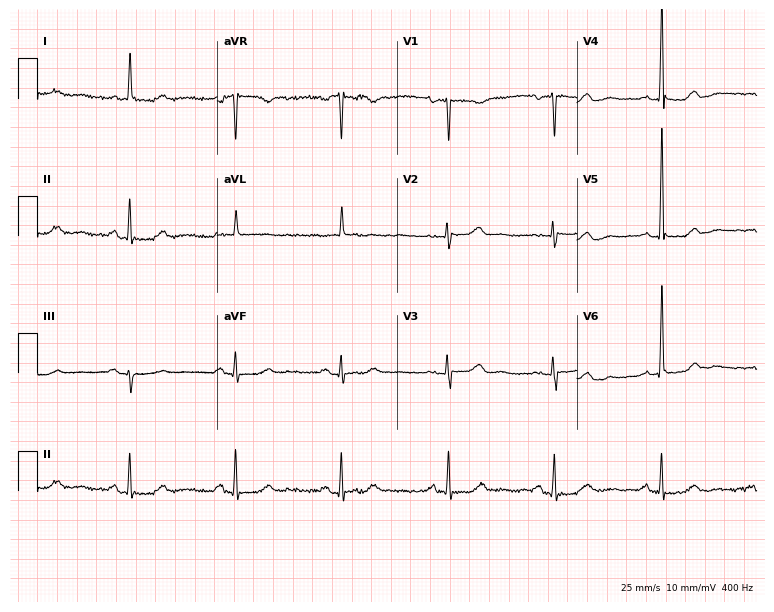
Electrocardiogram, a female patient, 76 years old. Of the six screened findings (first-degree AV block, right bundle branch block, left bundle branch block, sinus bradycardia, atrial fibrillation, sinus tachycardia), none is recorded. Other findings, if any, are not listed.